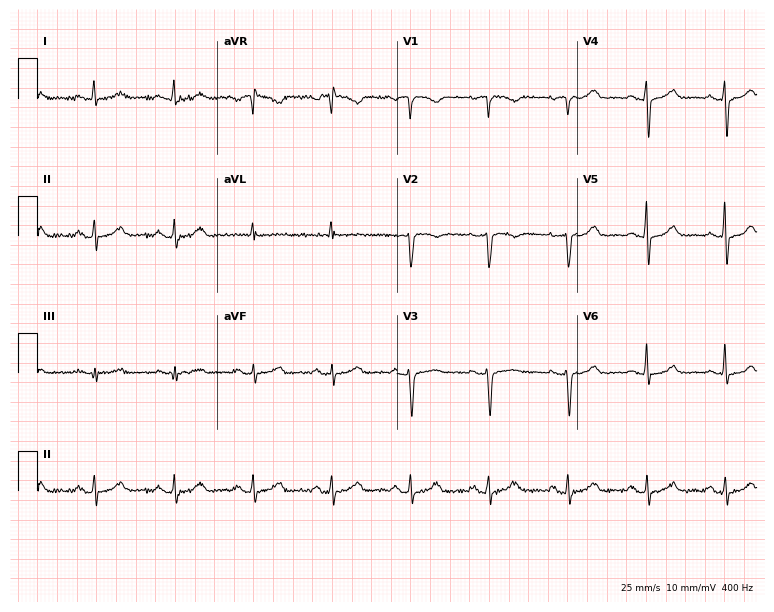
12-lead ECG from a 47-year-old female. Screened for six findings — first-degree AV block, right bundle branch block, left bundle branch block, sinus bradycardia, atrial fibrillation, sinus tachycardia — none is recorded.